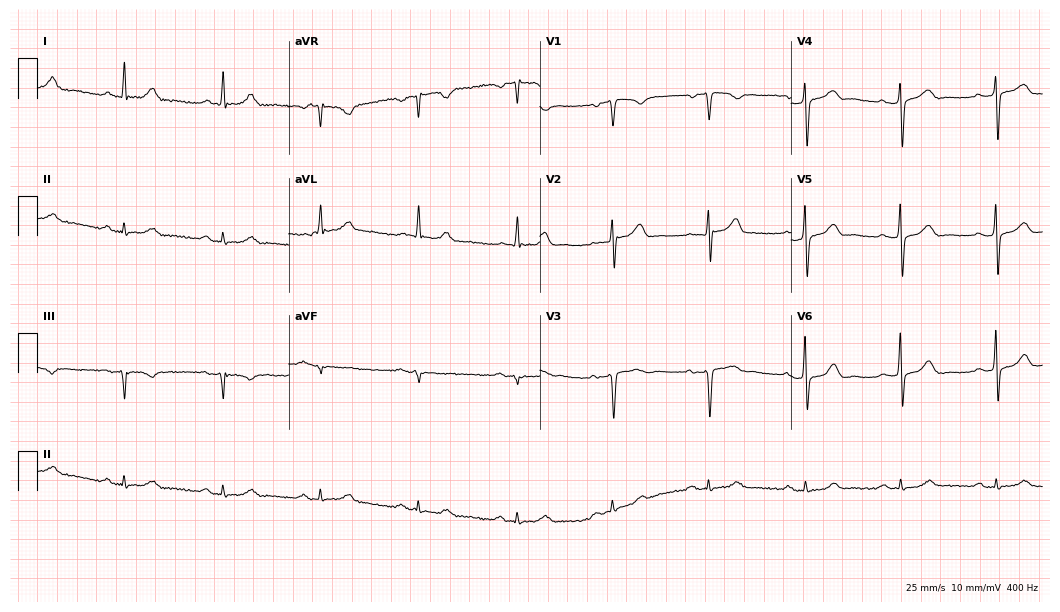
ECG — a 67-year-old male. Labelled as a normal ECG.